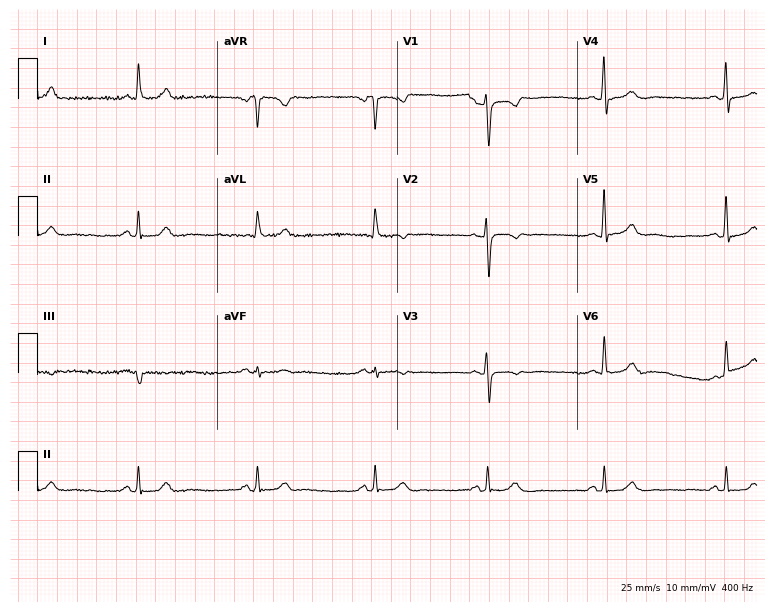
ECG — a female, 68 years old. Labelled as a normal ECG.